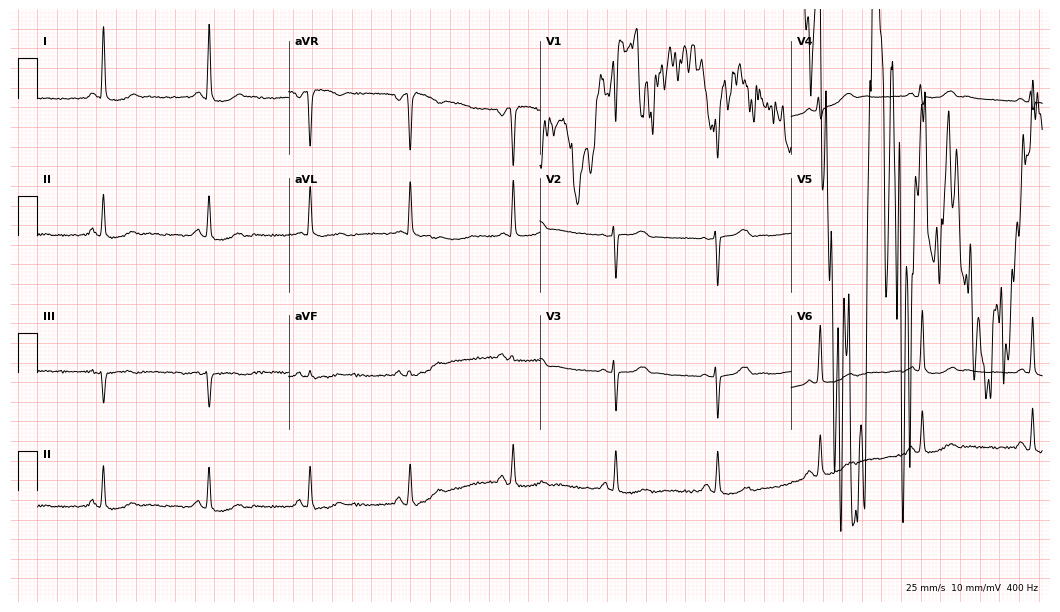
ECG (10.2-second recording at 400 Hz) — a female patient, 53 years old. Screened for six findings — first-degree AV block, right bundle branch block, left bundle branch block, sinus bradycardia, atrial fibrillation, sinus tachycardia — none is recorded.